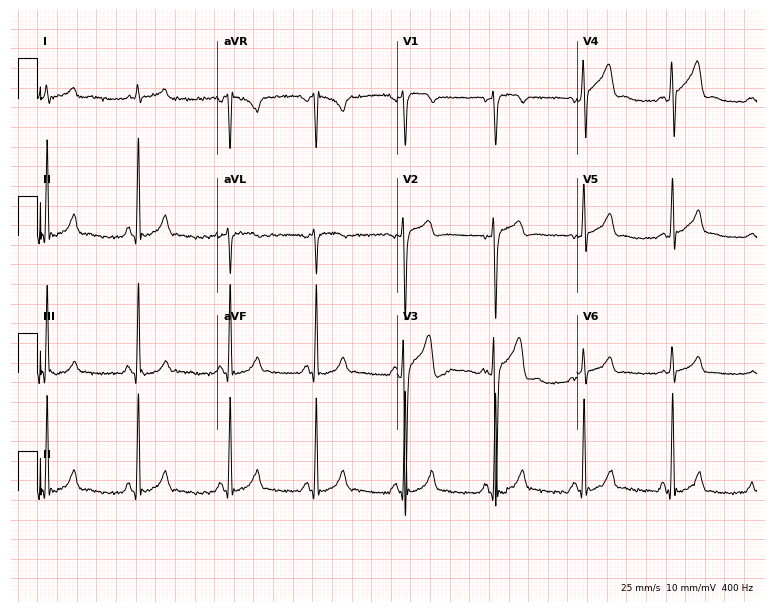
Electrocardiogram, a 26-year-old man. Of the six screened findings (first-degree AV block, right bundle branch block, left bundle branch block, sinus bradycardia, atrial fibrillation, sinus tachycardia), none is recorded.